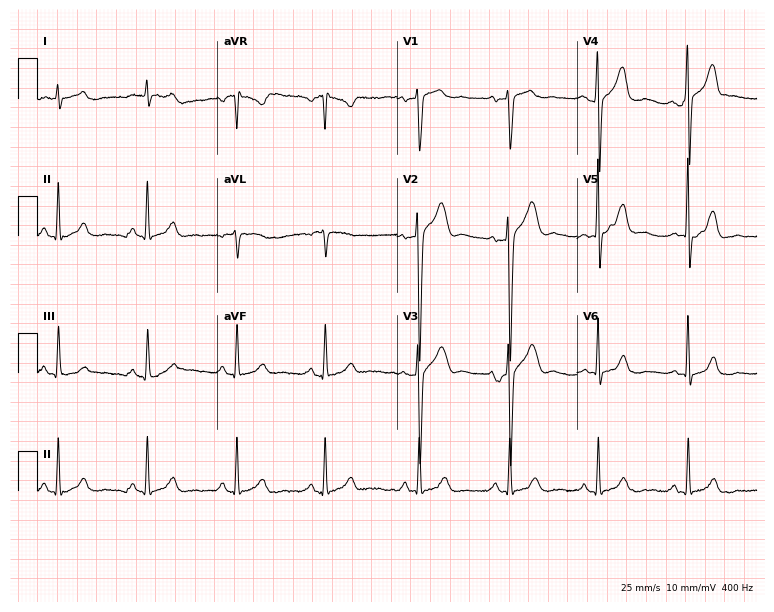
Electrocardiogram, a 46-year-old male patient. Overall reading on record: normal ECG.